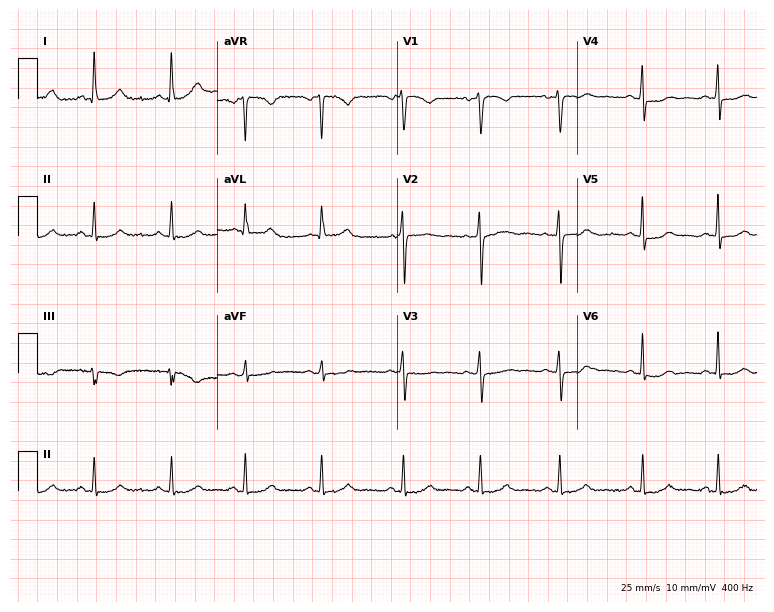
Standard 12-lead ECG recorded from a woman, 34 years old. None of these six findings is recorded: first-degree AV block, right bundle branch block, left bundle branch block, sinus bradycardia, atrial fibrillation, sinus tachycardia.